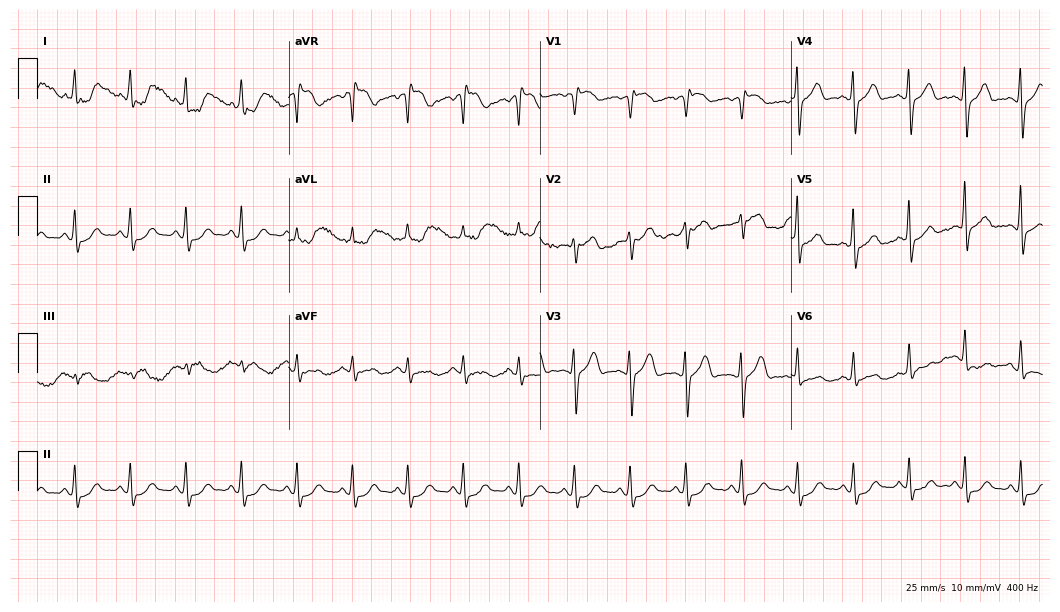
12-lead ECG from a 66-year-old female patient (10.2-second recording at 400 Hz). No first-degree AV block, right bundle branch block, left bundle branch block, sinus bradycardia, atrial fibrillation or sinus tachycardia recorded for this tracing.